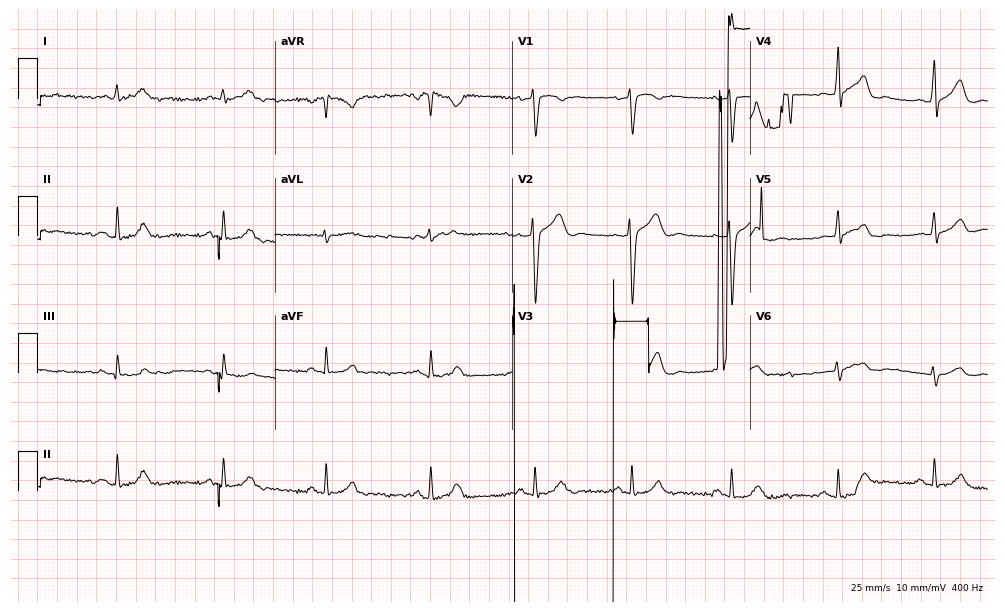
12-lead ECG (9.7-second recording at 400 Hz) from a 35-year-old male patient. Screened for six findings — first-degree AV block, right bundle branch block (RBBB), left bundle branch block (LBBB), sinus bradycardia, atrial fibrillation (AF), sinus tachycardia — none is recorded. Findings outside these six are not listed.